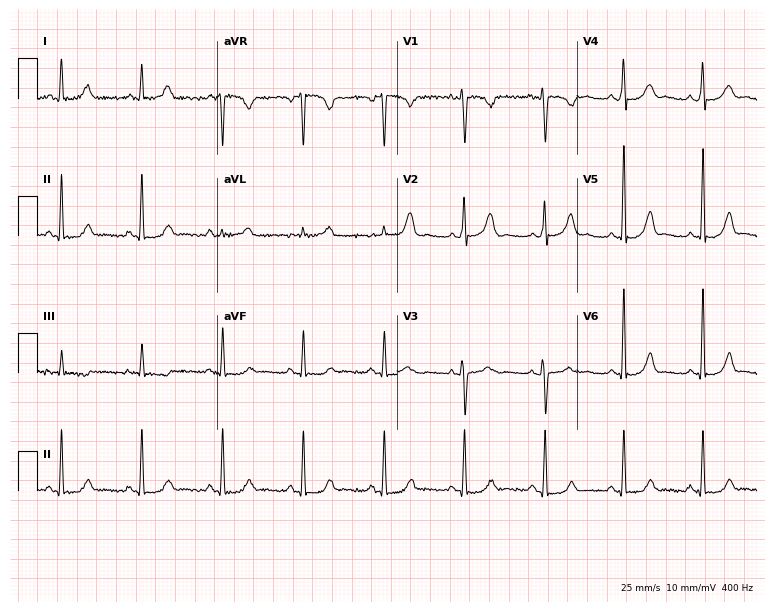
ECG (7.3-second recording at 400 Hz) — a female, 43 years old. Labelled as a normal ECG.